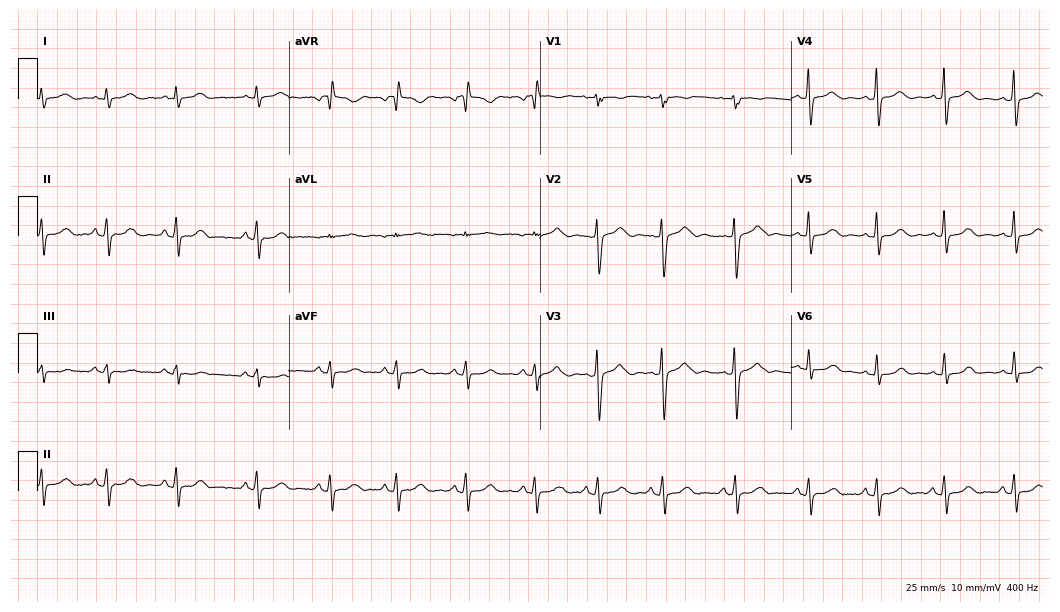
Standard 12-lead ECG recorded from a 23-year-old female. Read as a normal ECG.